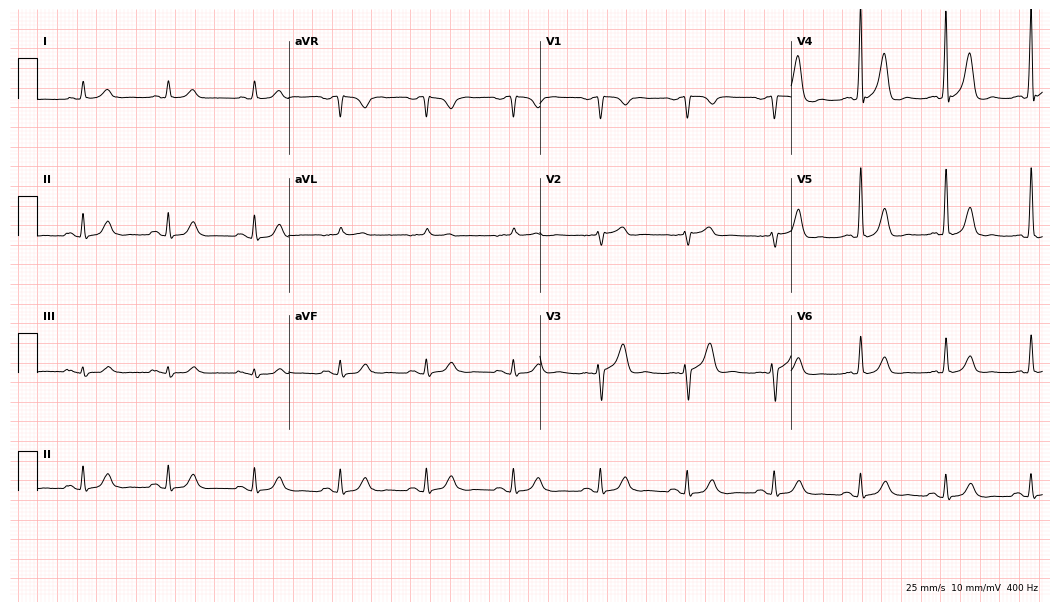
Electrocardiogram (10.2-second recording at 400 Hz), a 72-year-old male patient. Overall reading on record: normal ECG.